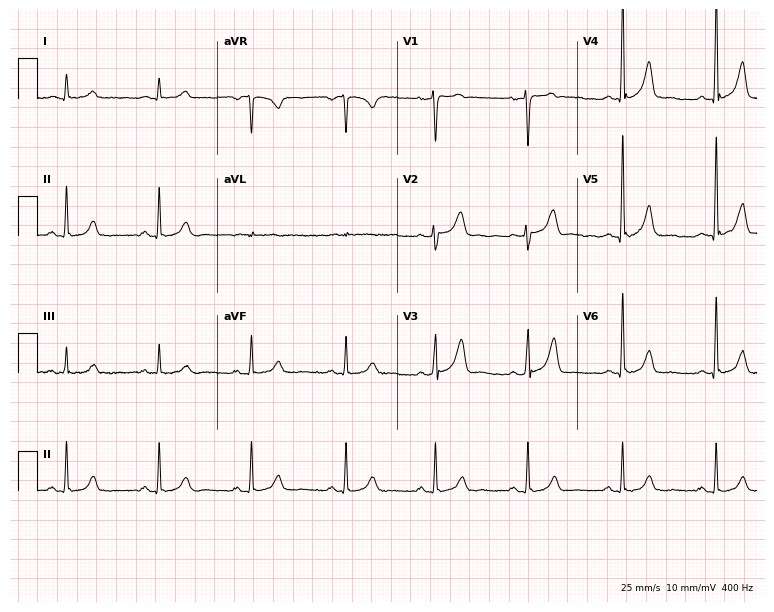
Standard 12-lead ECG recorded from a woman, 60 years old (7.3-second recording at 400 Hz). None of these six findings is recorded: first-degree AV block, right bundle branch block, left bundle branch block, sinus bradycardia, atrial fibrillation, sinus tachycardia. Findings outside these six are not listed.